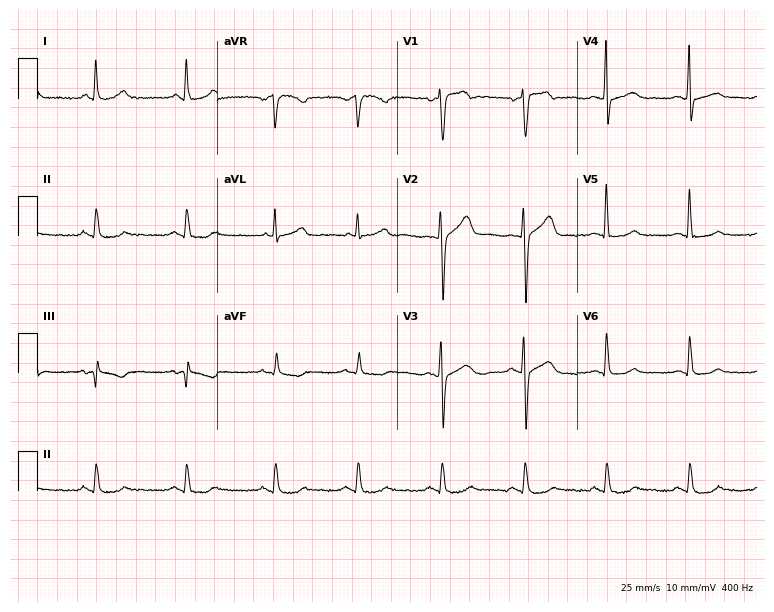
ECG (7.3-second recording at 400 Hz) — a male, 39 years old. Screened for six findings — first-degree AV block, right bundle branch block, left bundle branch block, sinus bradycardia, atrial fibrillation, sinus tachycardia — none is recorded. Other findings, if any, are not listed.